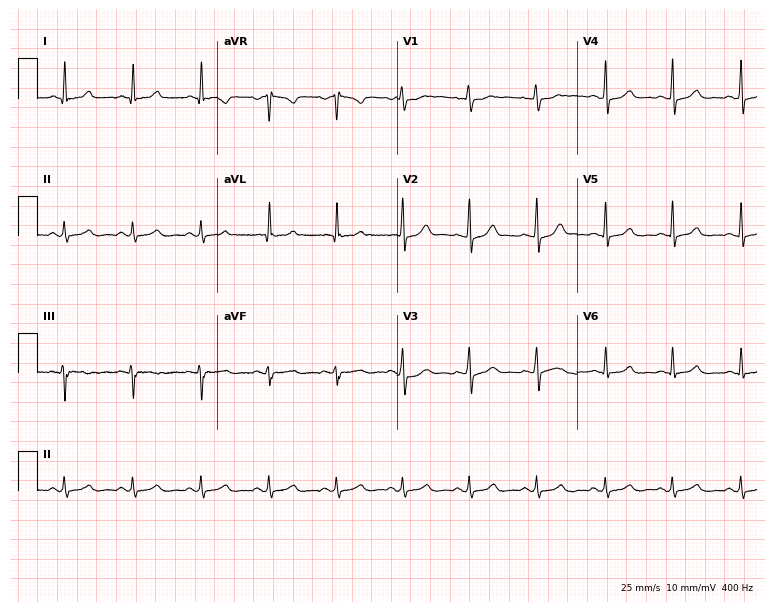
Resting 12-lead electrocardiogram (7.3-second recording at 400 Hz). Patient: a 39-year-old female. Read as a normal ECG.